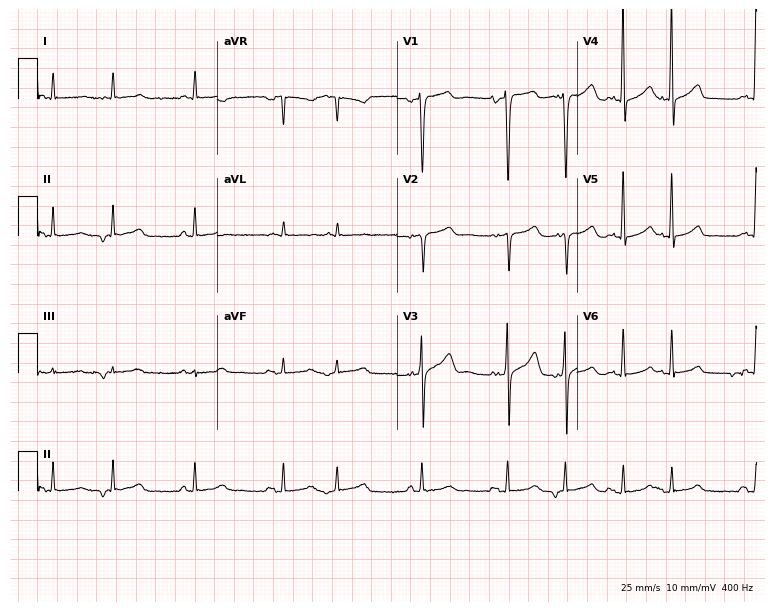
12-lead ECG from a male patient, 81 years old (7.3-second recording at 400 Hz). No first-degree AV block, right bundle branch block (RBBB), left bundle branch block (LBBB), sinus bradycardia, atrial fibrillation (AF) or sinus tachycardia recorded for this tracing. Findings outside these six are not listed.